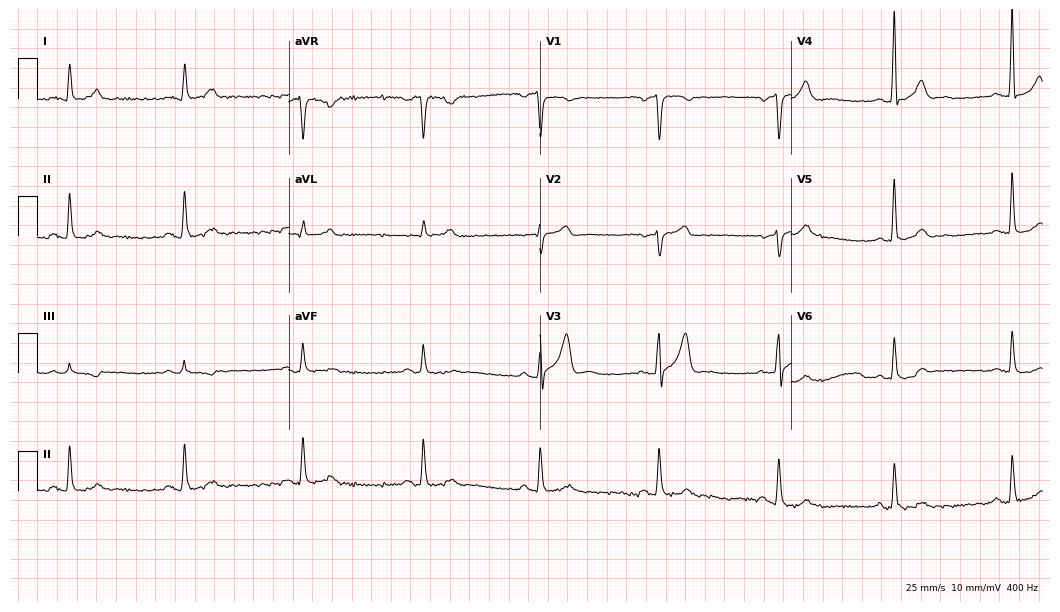
Resting 12-lead electrocardiogram. Patient: a 58-year-old male. None of these six findings is recorded: first-degree AV block, right bundle branch block, left bundle branch block, sinus bradycardia, atrial fibrillation, sinus tachycardia.